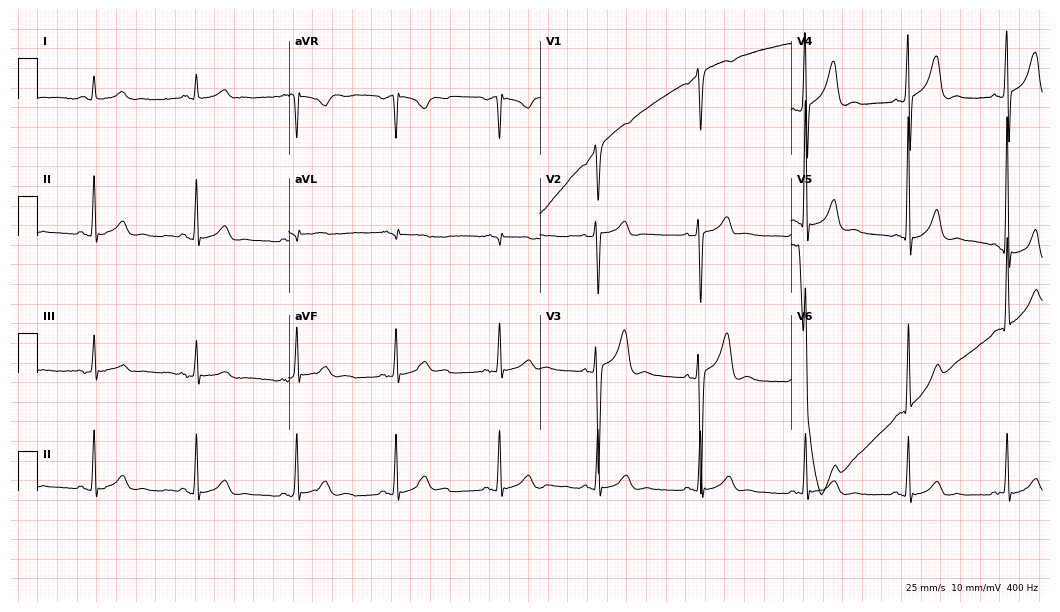
12-lead ECG from a male patient, 40 years old. Labelled as a normal ECG.